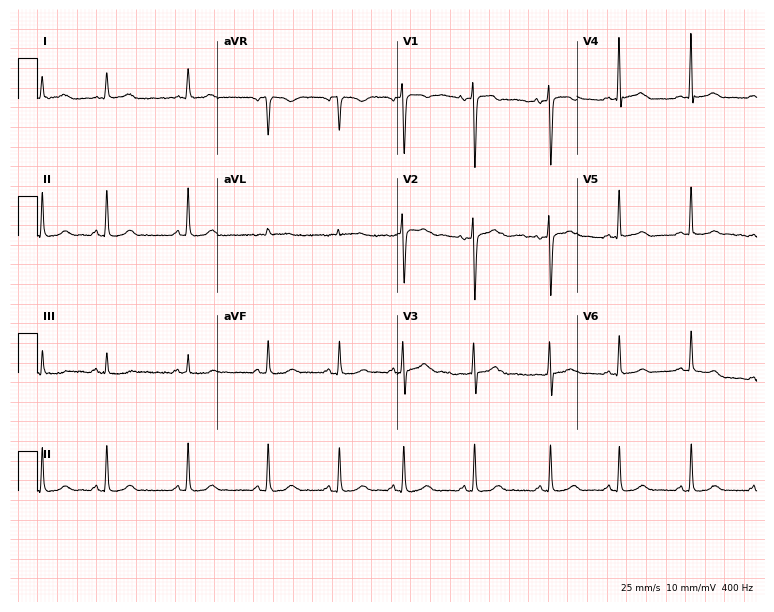
Resting 12-lead electrocardiogram (7.3-second recording at 400 Hz). Patient: a 17-year-old woman. None of these six findings is recorded: first-degree AV block, right bundle branch block, left bundle branch block, sinus bradycardia, atrial fibrillation, sinus tachycardia.